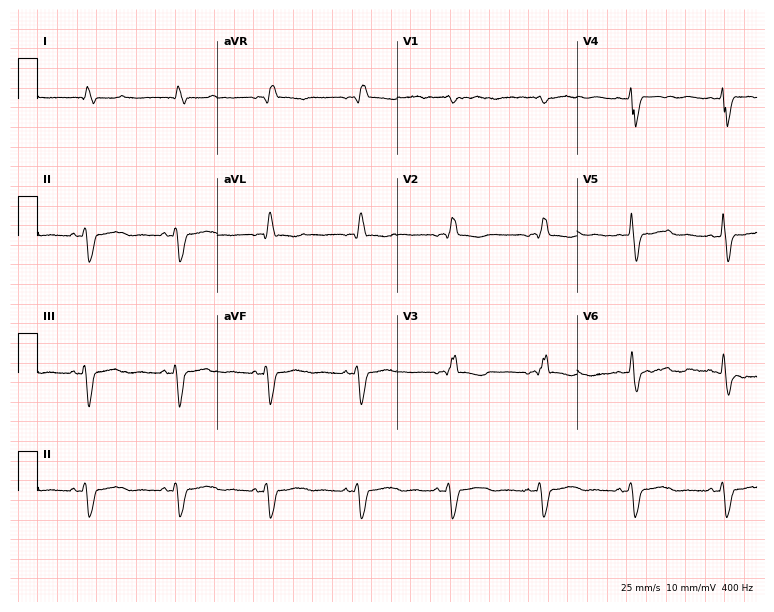
ECG (7.3-second recording at 400 Hz) — a 79-year-old woman. Findings include right bundle branch block.